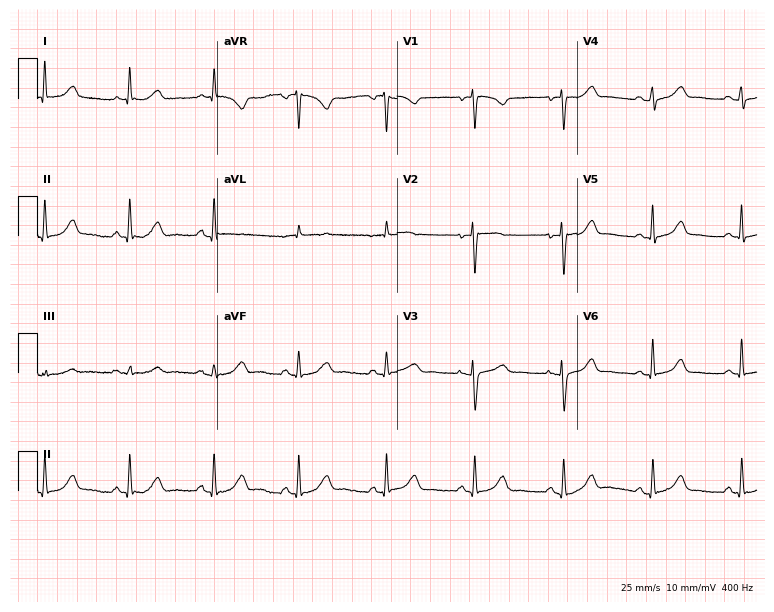
Electrocardiogram (7.3-second recording at 400 Hz), a female, 54 years old. Overall reading on record: normal ECG.